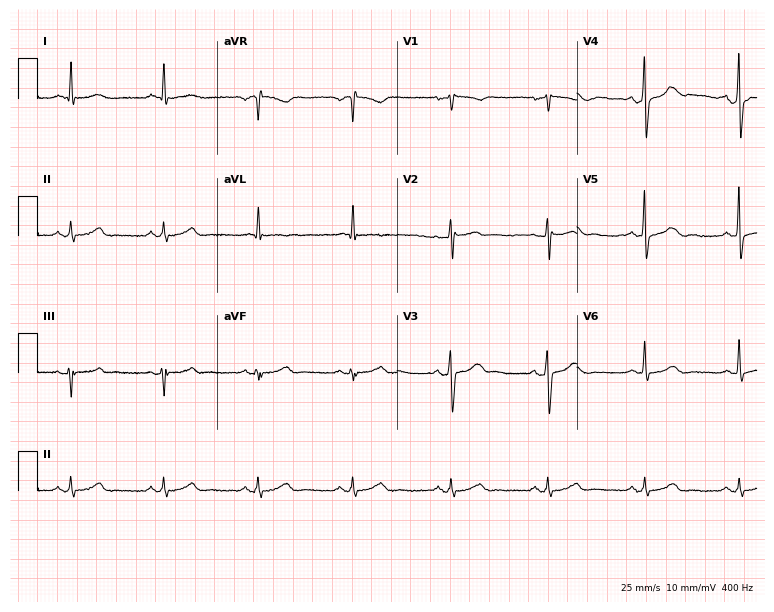
Electrocardiogram (7.3-second recording at 400 Hz), a 56-year-old man. Overall reading on record: normal ECG.